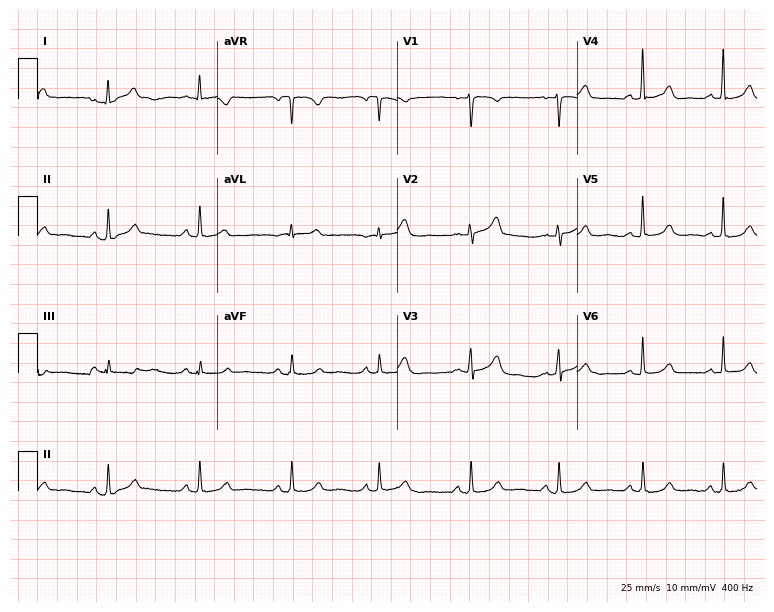
12-lead ECG from a 47-year-old woman (7.3-second recording at 400 Hz). No first-degree AV block, right bundle branch block (RBBB), left bundle branch block (LBBB), sinus bradycardia, atrial fibrillation (AF) or sinus tachycardia recorded for this tracing. Only these six findings were labelled.